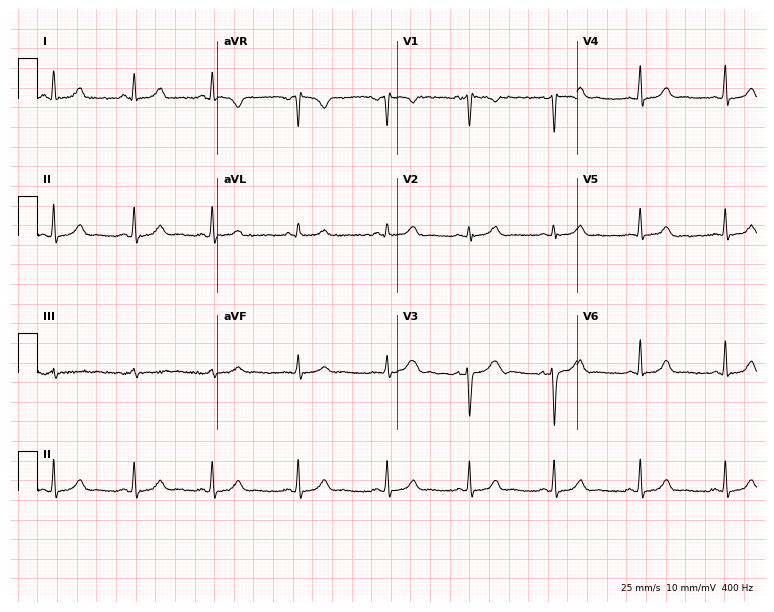
12-lead ECG from a female, 19 years old. No first-degree AV block, right bundle branch block, left bundle branch block, sinus bradycardia, atrial fibrillation or sinus tachycardia recorded for this tracing.